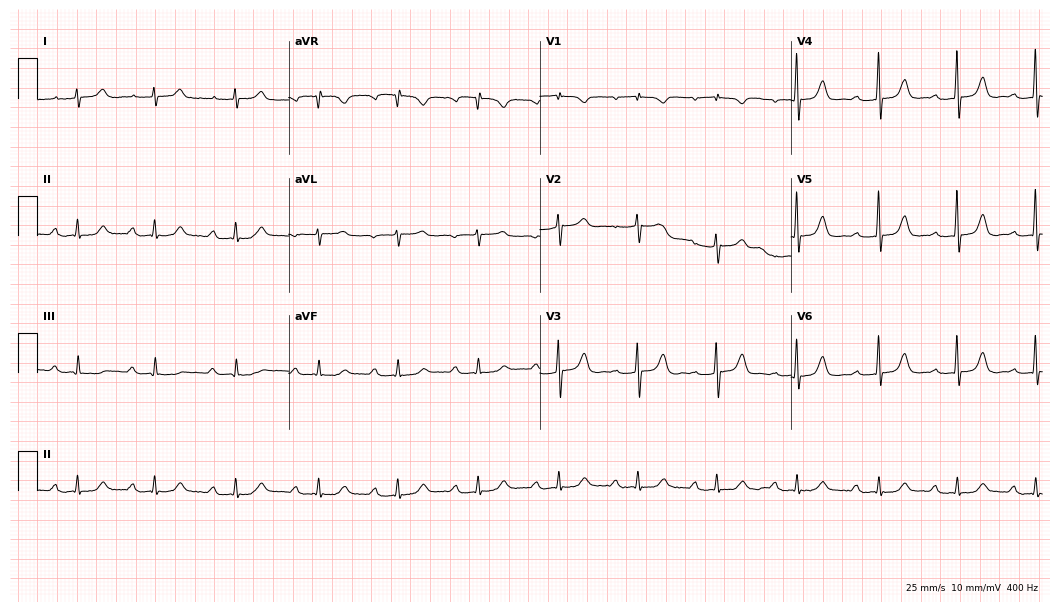
12-lead ECG from a female, 85 years old (10.2-second recording at 400 Hz). Shows first-degree AV block.